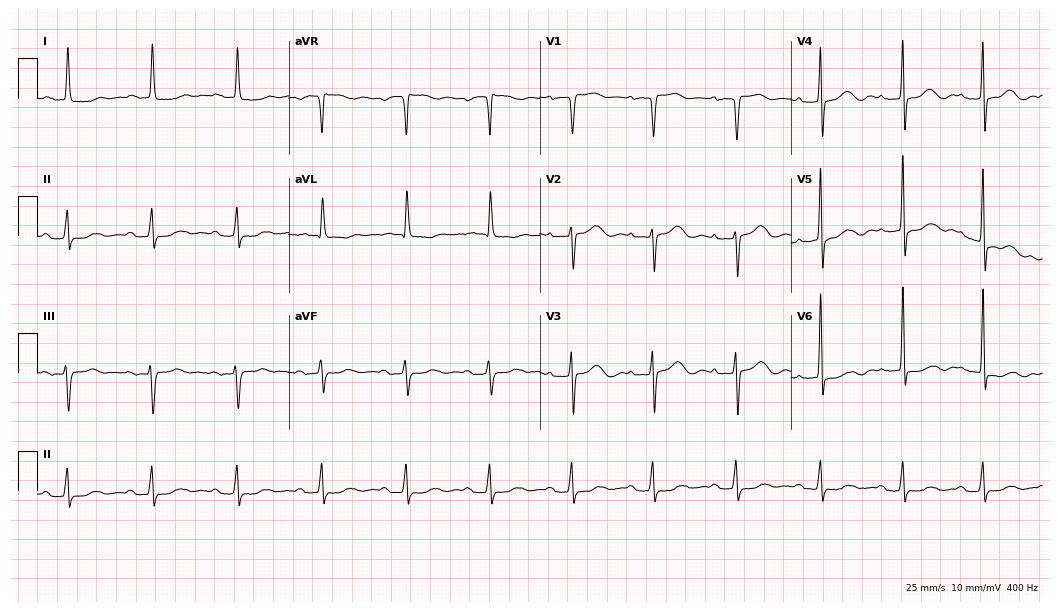
Electrocardiogram (10.2-second recording at 400 Hz), a 70-year-old female patient. Interpretation includes first-degree AV block.